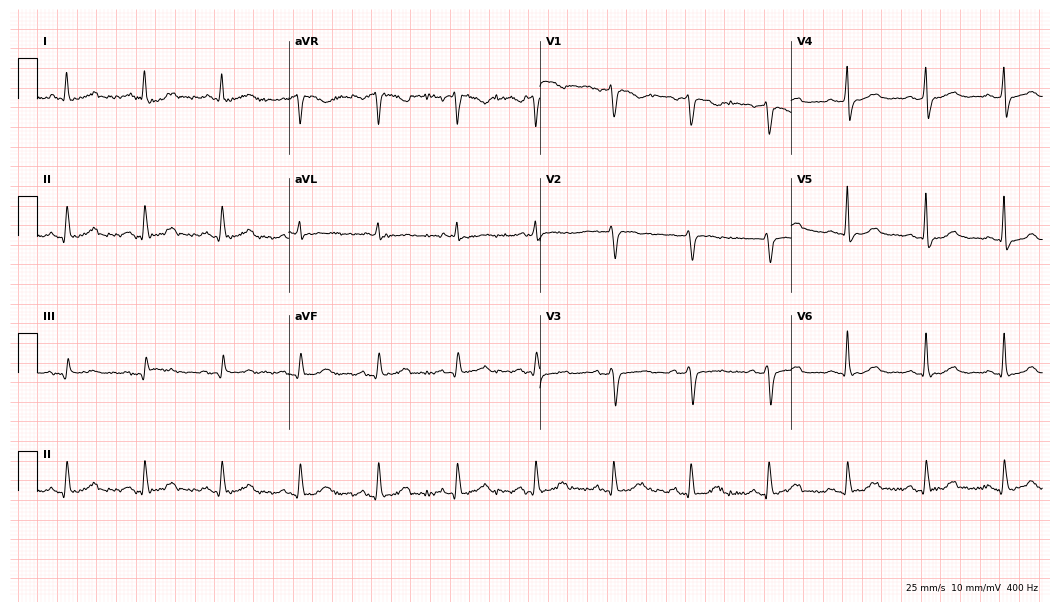
12-lead ECG from a female, 55 years old. Screened for six findings — first-degree AV block, right bundle branch block, left bundle branch block, sinus bradycardia, atrial fibrillation, sinus tachycardia — none is recorded. Only these six findings were labelled.